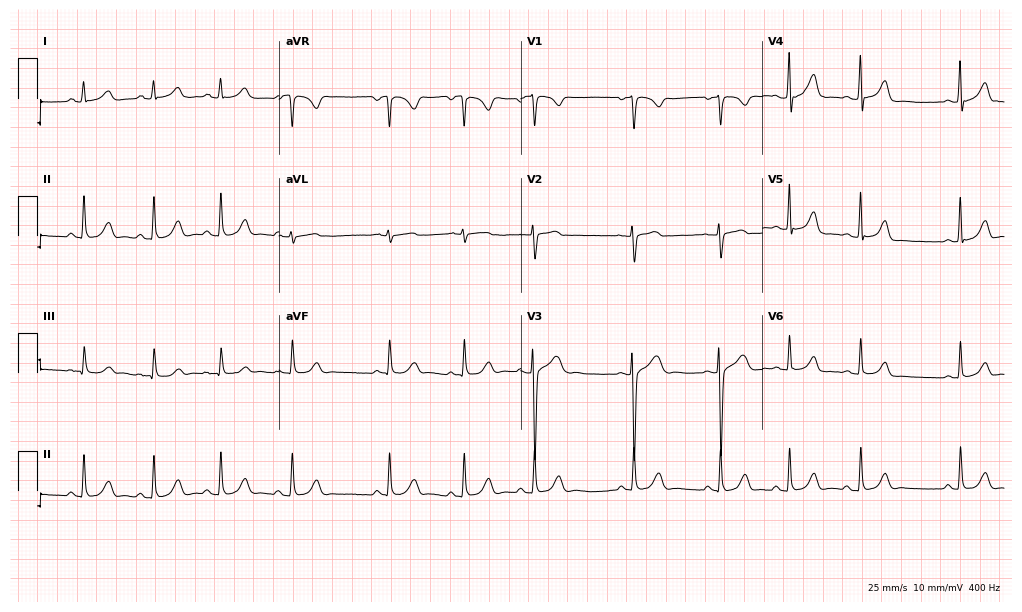
12-lead ECG (9.9-second recording at 400 Hz) from a woman, 17 years old. Labelled as a normal ECG.